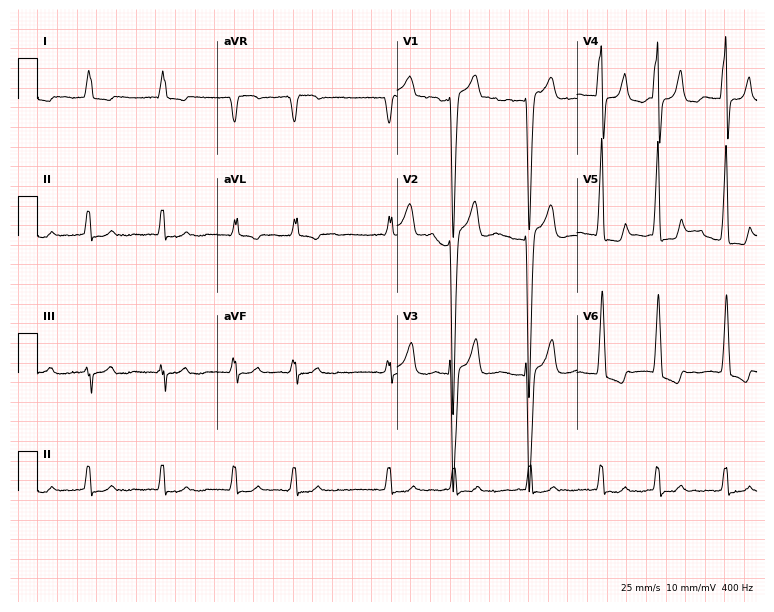
12-lead ECG from a 77-year-old female patient. Findings include atrial fibrillation.